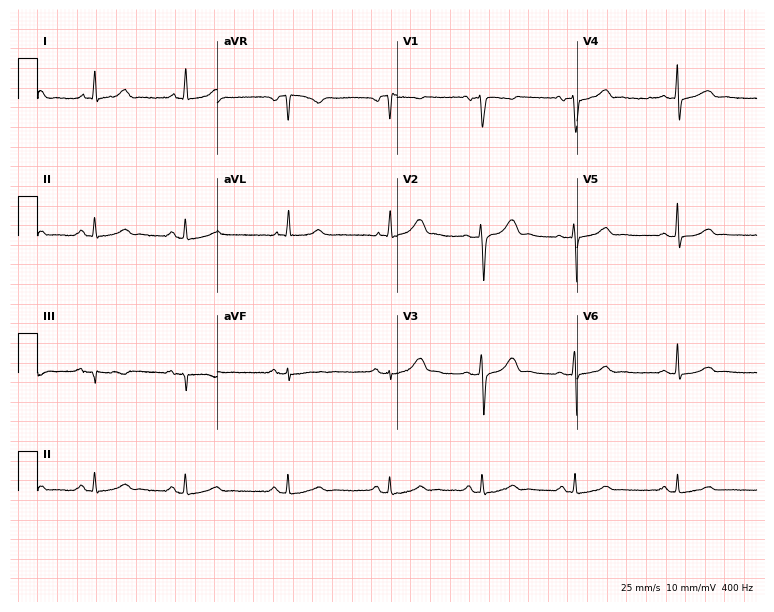
Resting 12-lead electrocardiogram. Patient: a 68-year-old female. Read as a normal ECG.